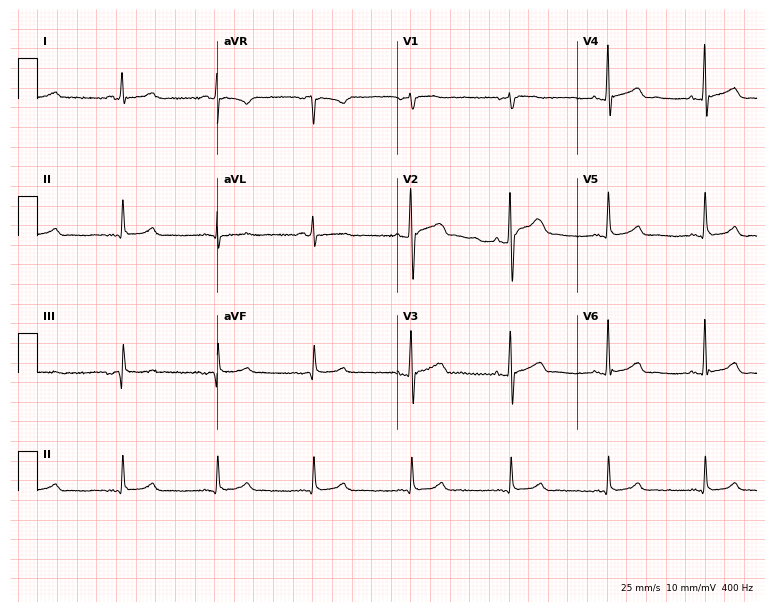
12-lead ECG from a man, 51 years old (7.3-second recording at 400 Hz). Recorded interpretation: within normal limits.